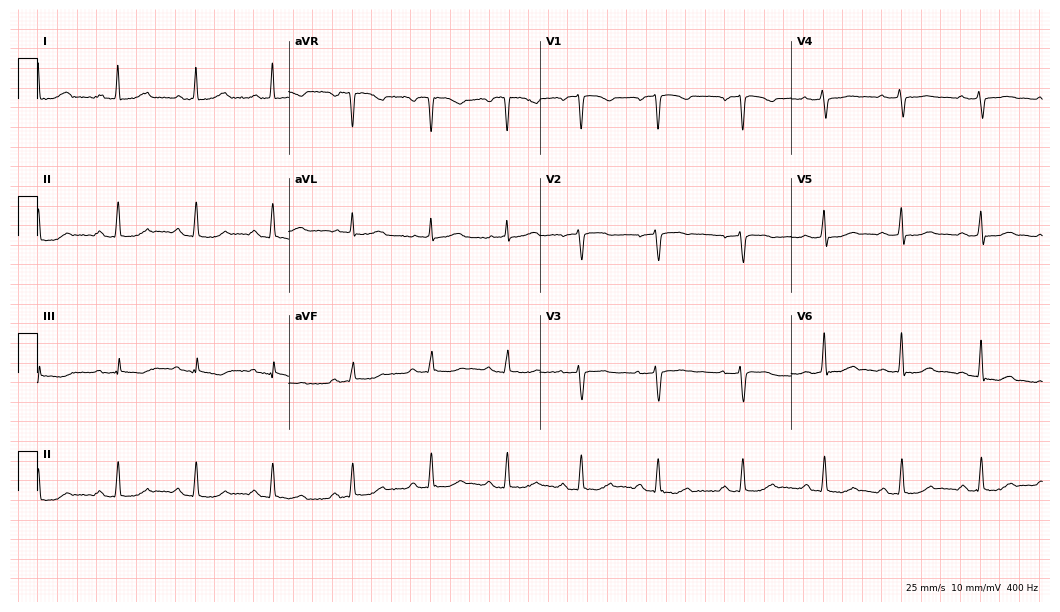
12-lead ECG (10.2-second recording at 400 Hz) from a female patient, 57 years old. Labelled as a normal ECG.